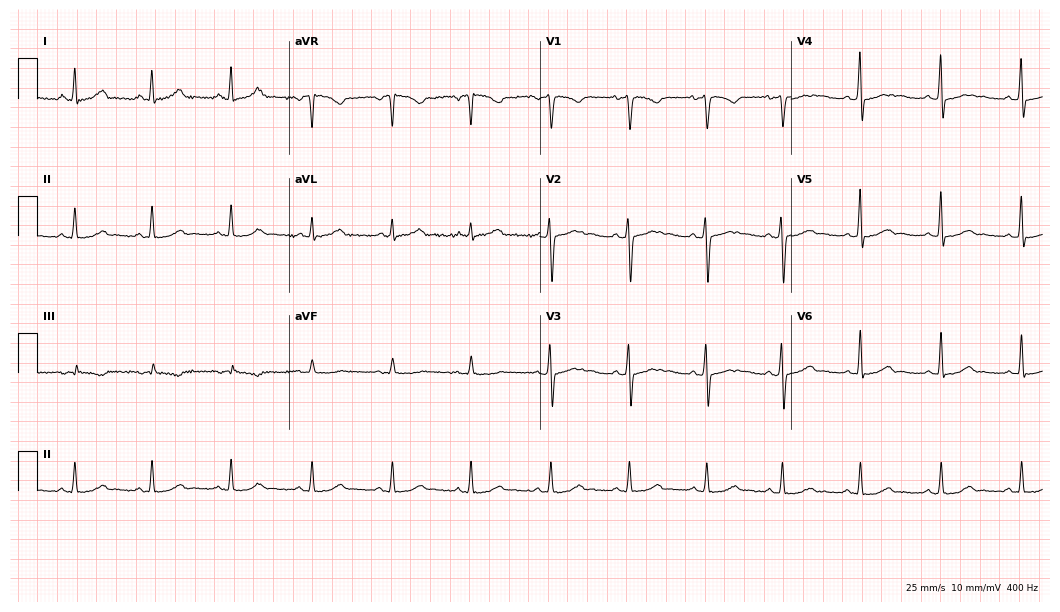
12-lead ECG from a 34-year-old woman. No first-degree AV block, right bundle branch block (RBBB), left bundle branch block (LBBB), sinus bradycardia, atrial fibrillation (AF) or sinus tachycardia recorded for this tracing.